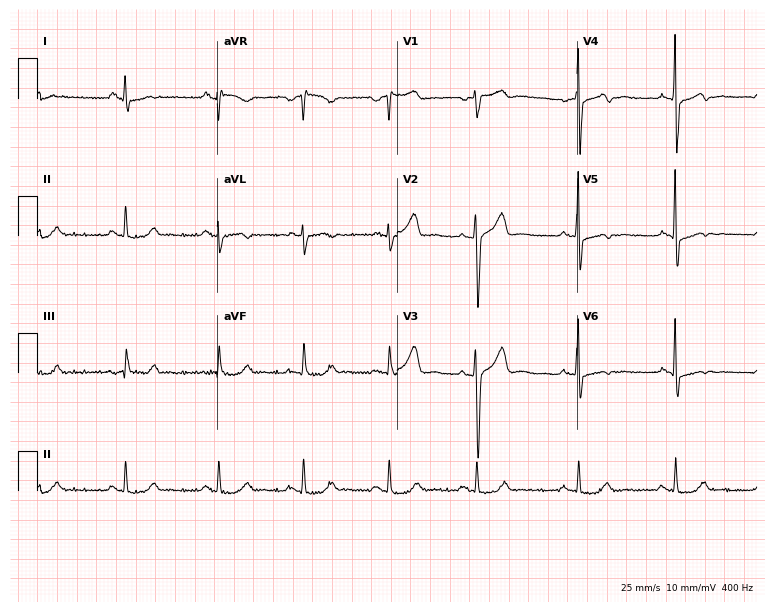
ECG — a 42-year-old male patient. Screened for six findings — first-degree AV block, right bundle branch block, left bundle branch block, sinus bradycardia, atrial fibrillation, sinus tachycardia — none is recorded. Findings outside these six are not listed.